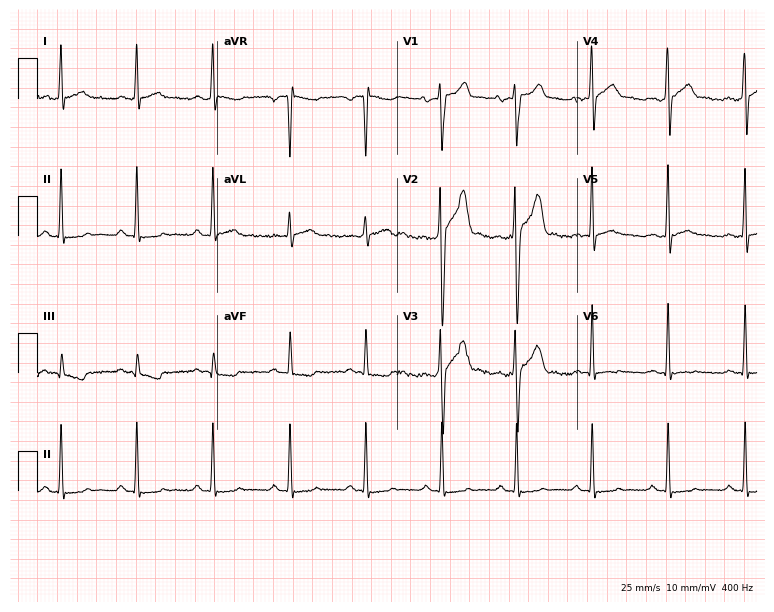
12-lead ECG from a male patient, 31 years old. Labelled as a normal ECG.